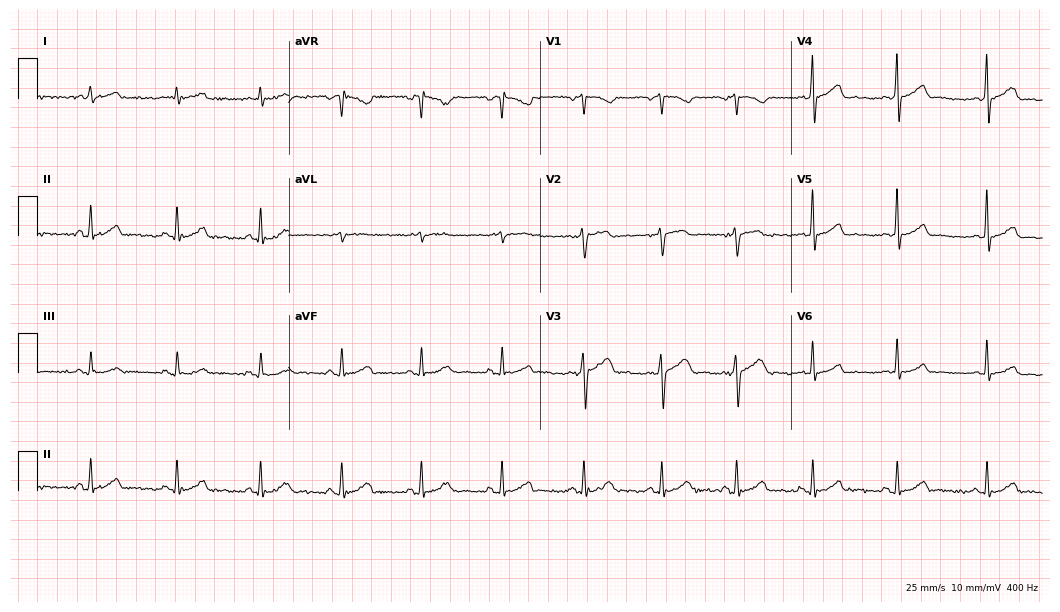
12-lead ECG from a man, 41 years old (10.2-second recording at 400 Hz). No first-degree AV block, right bundle branch block (RBBB), left bundle branch block (LBBB), sinus bradycardia, atrial fibrillation (AF) or sinus tachycardia recorded for this tracing.